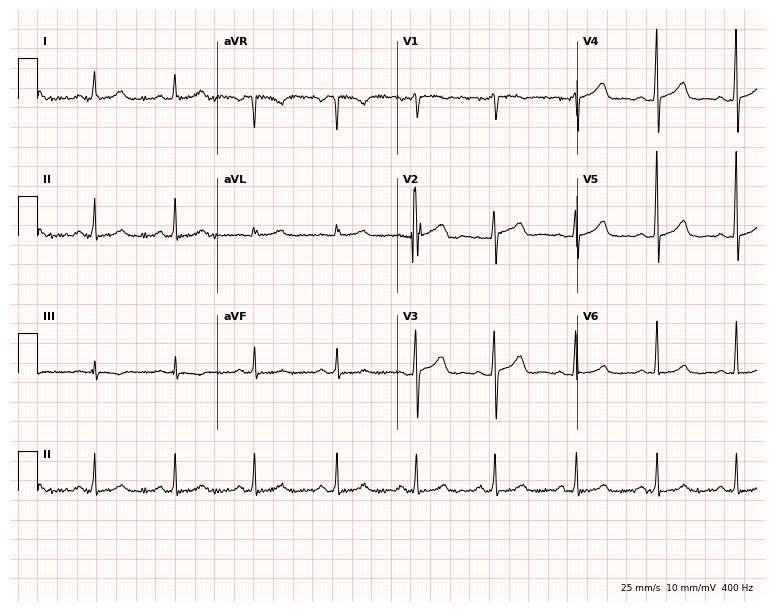
12-lead ECG (7.3-second recording at 400 Hz) from a female patient, 44 years old. Labelled as a normal ECG.